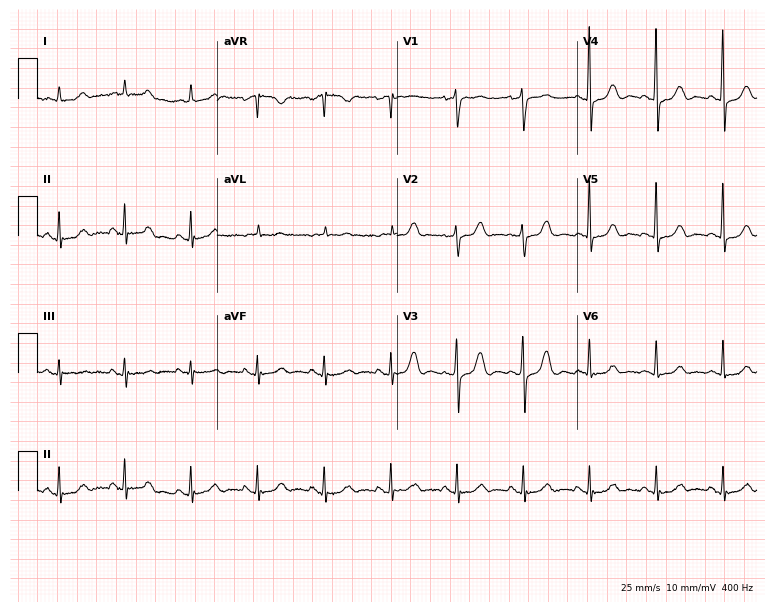
12-lead ECG from a female patient, 83 years old. No first-degree AV block, right bundle branch block (RBBB), left bundle branch block (LBBB), sinus bradycardia, atrial fibrillation (AF) or sinus tachycardia recorded for this tracing.